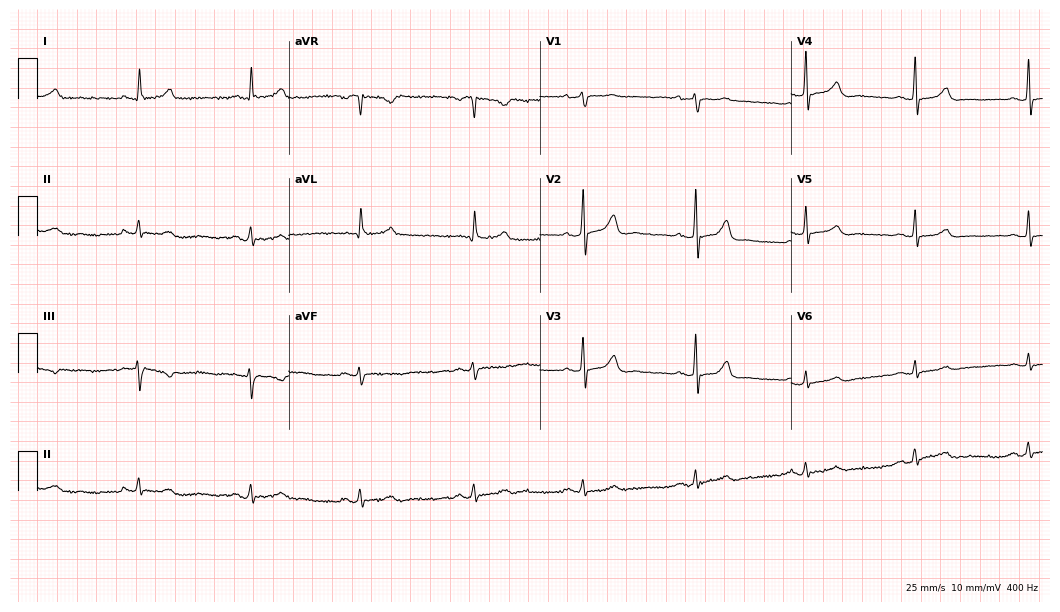
Standard 12-lead ECG recorded from a 66-year-old man (10.2-second recording at 400 Hz). Read as a normal ECG.